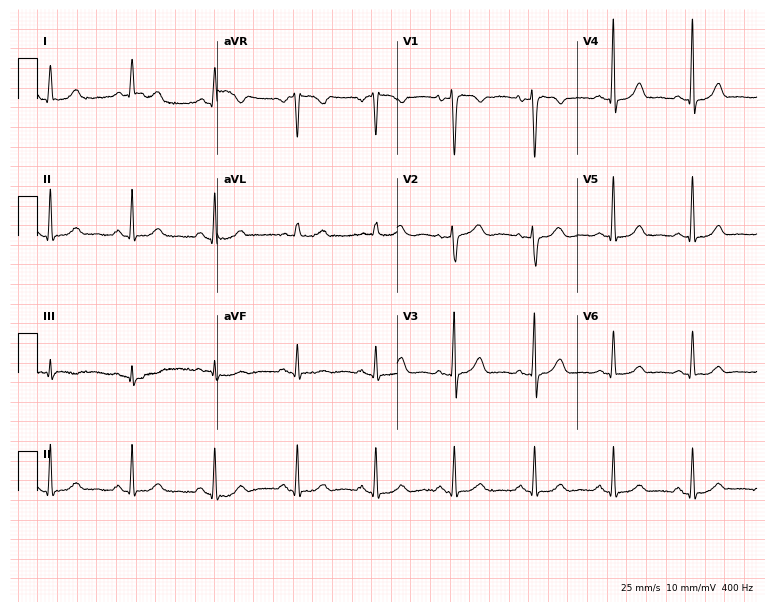
Electrocardiogram, a female, 43 years old. Of the six screened findings (first-degree AV block, right bundle branch block (RBBB), left bundle branch block (LBBB), sinus bradycardia, atrial fibrillation (AF), sinus tachycardia), none is recorded. Only these six findings were labelled.